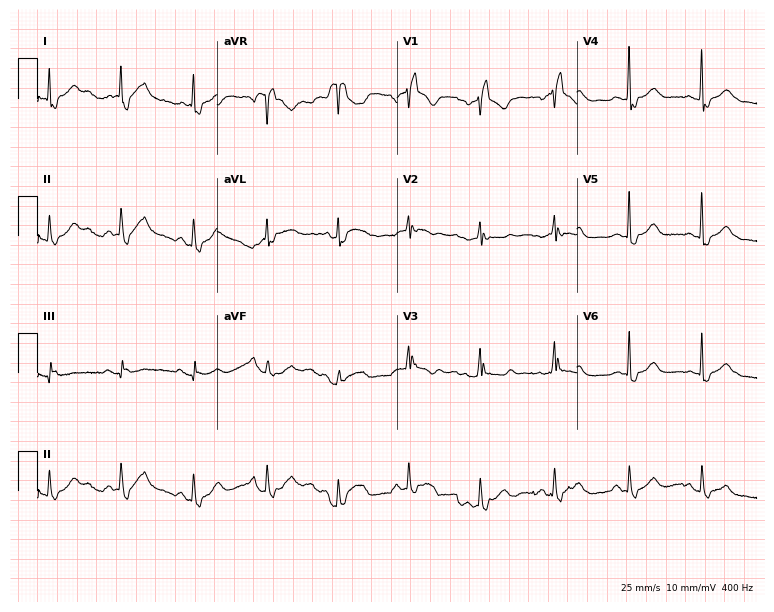
12-lead ECG (7.3-second recording at 400 Hz) from a female patient, 82 years old. Findings include right bundle branch block.